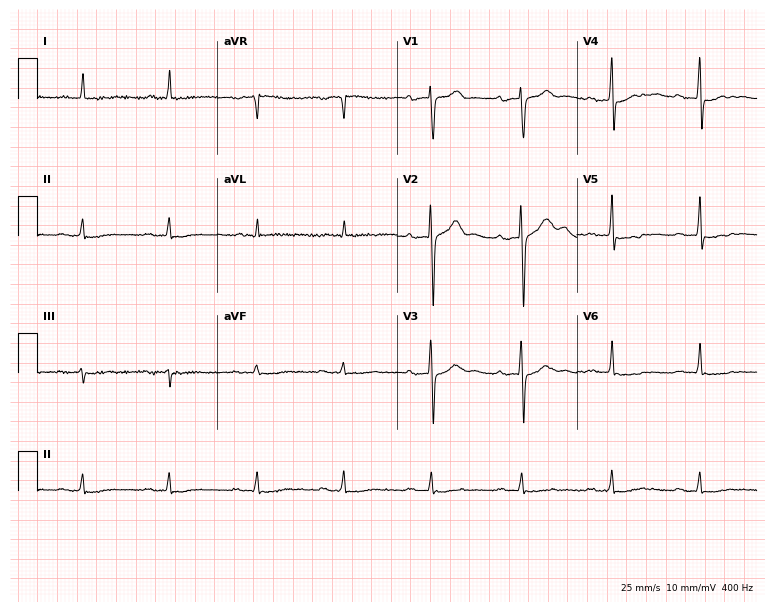
12-lead ECG from an 80-year-old male patient. Screened for six findings — first-degree AV block, right bundle branch block, left bundle branch block, sinus bradycardia, atrial fibrillation, sinus tachycardia — none is recorded. Findings outside these six are not listed.